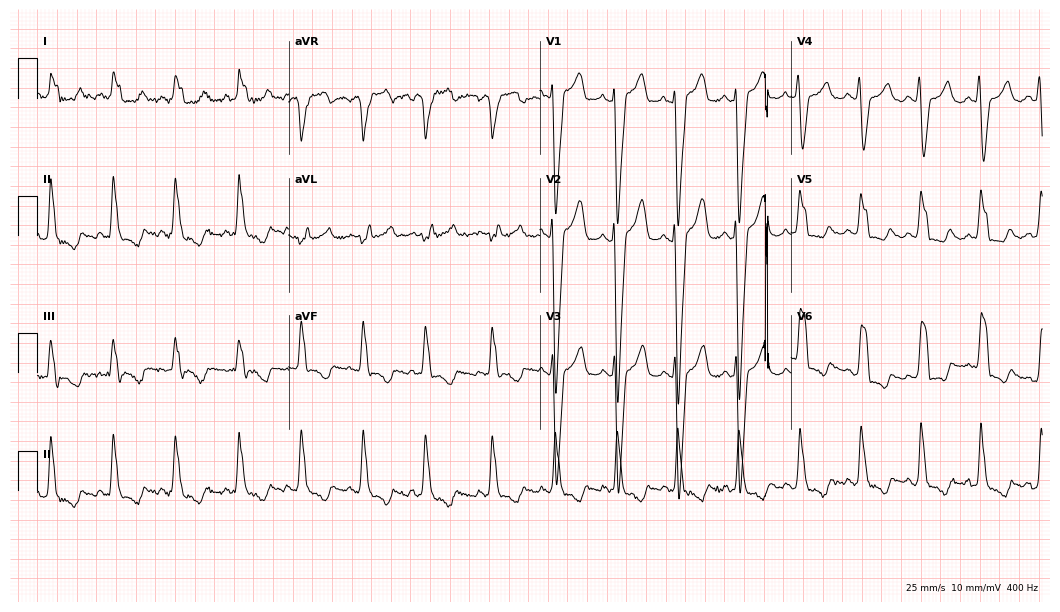
ECG (10.2-second recording at 400 Hz) — a 45-year-old female. Findings include left bundle branch block (LBBB).